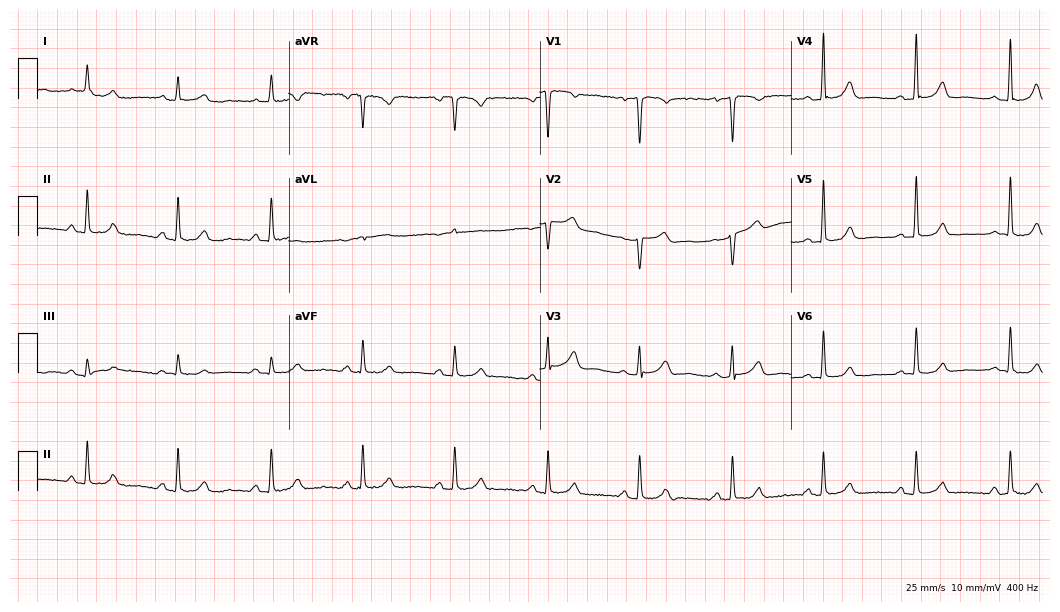
12-lead ECG from a 52-year-old female patient. No first-degree AV block, right bundle branch block (RBBB), left bundle branch block (LBBB), sinus bradycardia, atrial fibrillation (AF) or sinus tachycardia recorded for this tracing.